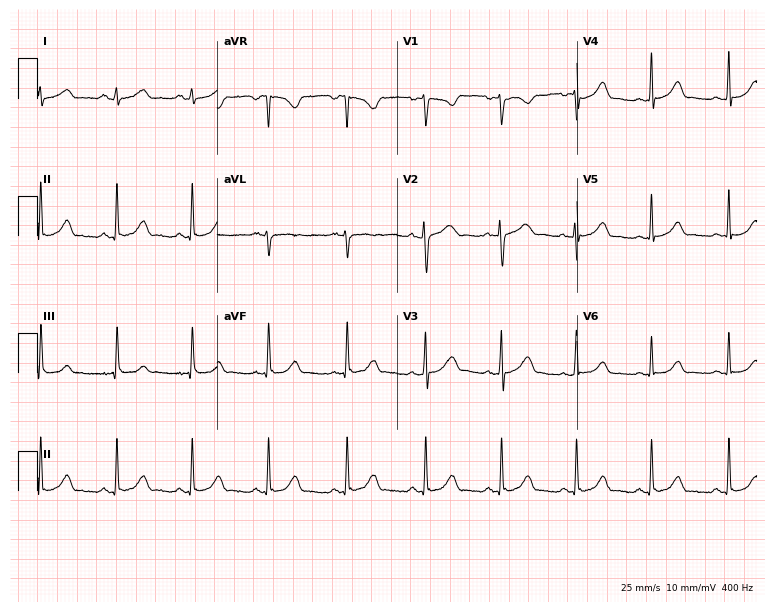
Electrocardiogram (7.3-second recording at 400 Hz), a female, 24 years old. Overall reading on record: normal ECG.